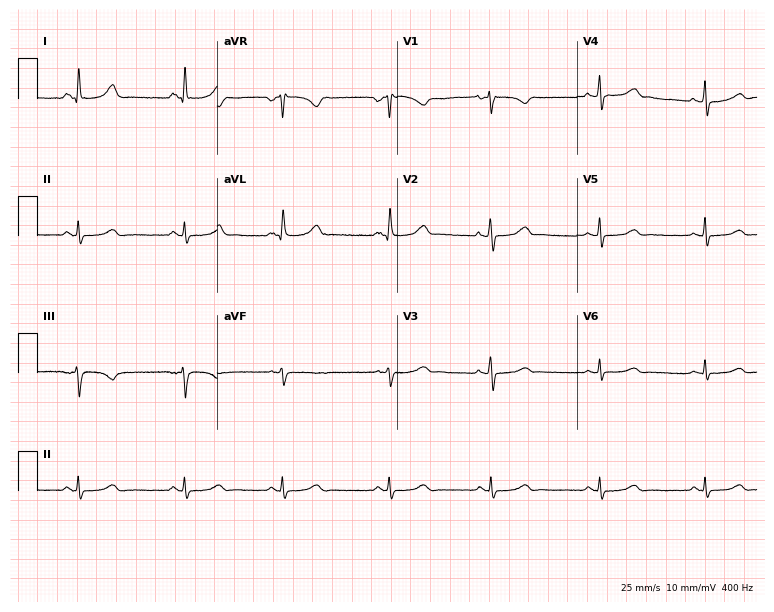
ECG — a female patient, 45 years old. Labelled as a normal ECG.